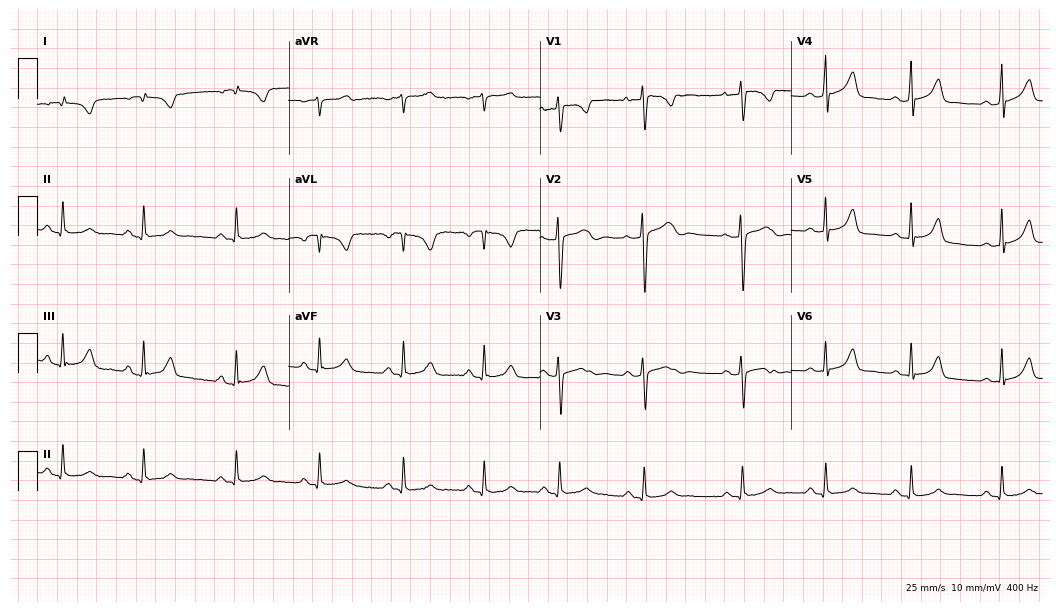
Resting 12-lead electrocardiogram (10.2-second recording at 400 Hz). Patient: a female, 23 years old. None of these six findings is recorded: first-degree AV block, right bundle branch block, left bundle branch block, sinus bradycardia, atrial fibrillation, sinus tachycardia. Only these six findings were labelled.